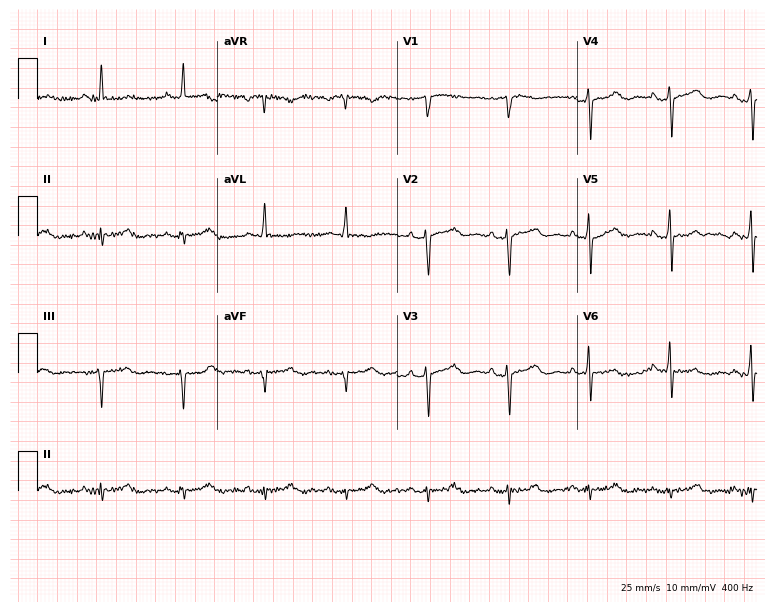
12-lead ECG from a 78-year-old male patient. No first-degree AV block, right bundle branch block, left bundle branch block, sinus bradycardia, atrial fibrillation or sinus tachycardia recorded for this tracing.